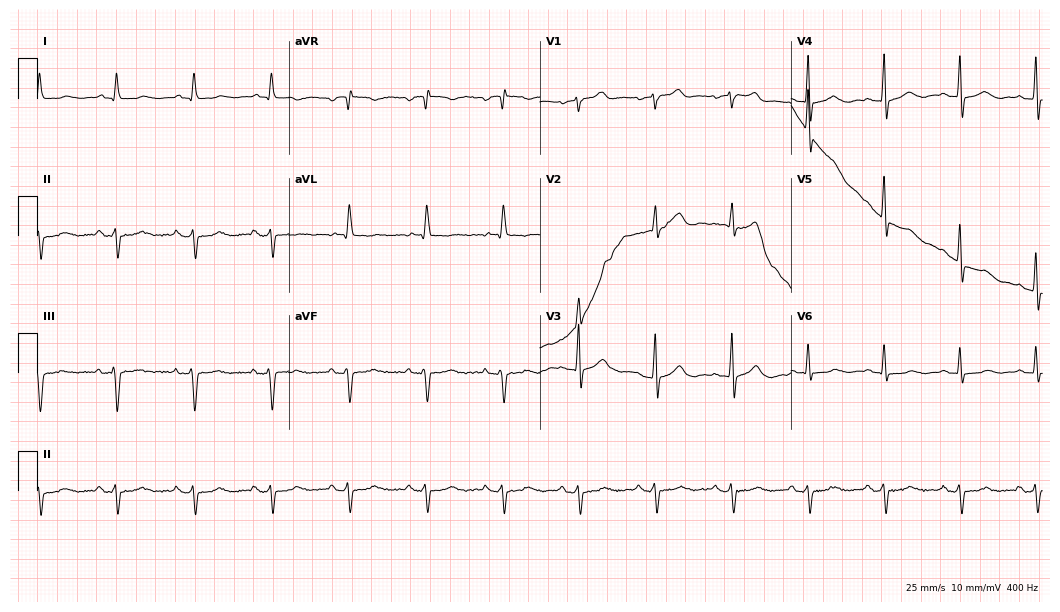
Resting 12-lead electrocardiogram. Patient: a 79-year-old man. None of these six findings is recorded: first-degree AV block, right bundle branch block, left bundle branch block, sinus bradycardia, atrial fibrillation, sinus tachycardia. Other findings, if any, are not listed.